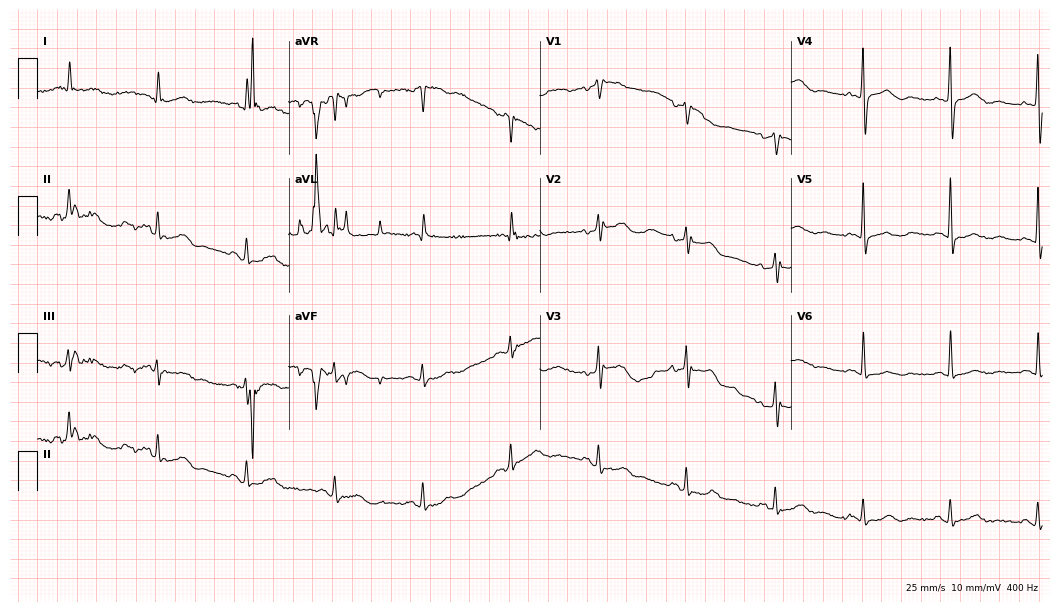
ECG — a female, 81 years old. Labelled as a normal ECG.